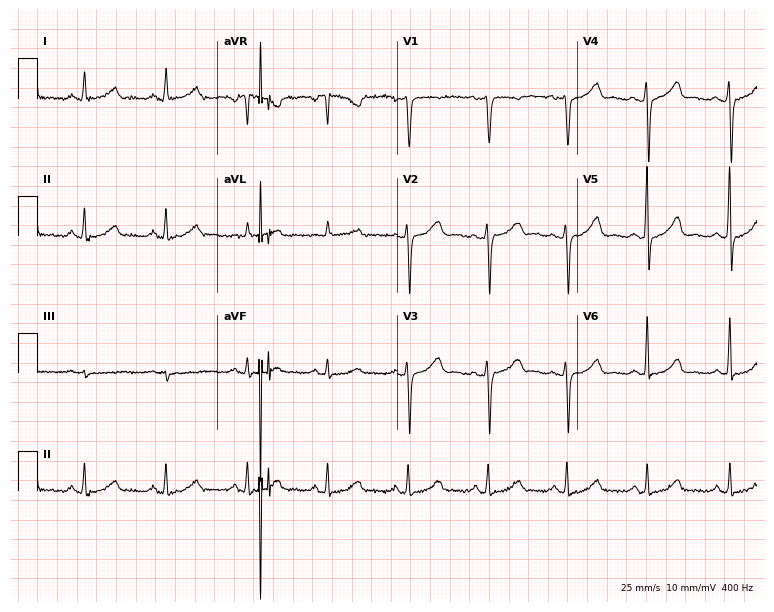
12-lead ECG from a 50-year-old woman. Labelled as a normal ECG.